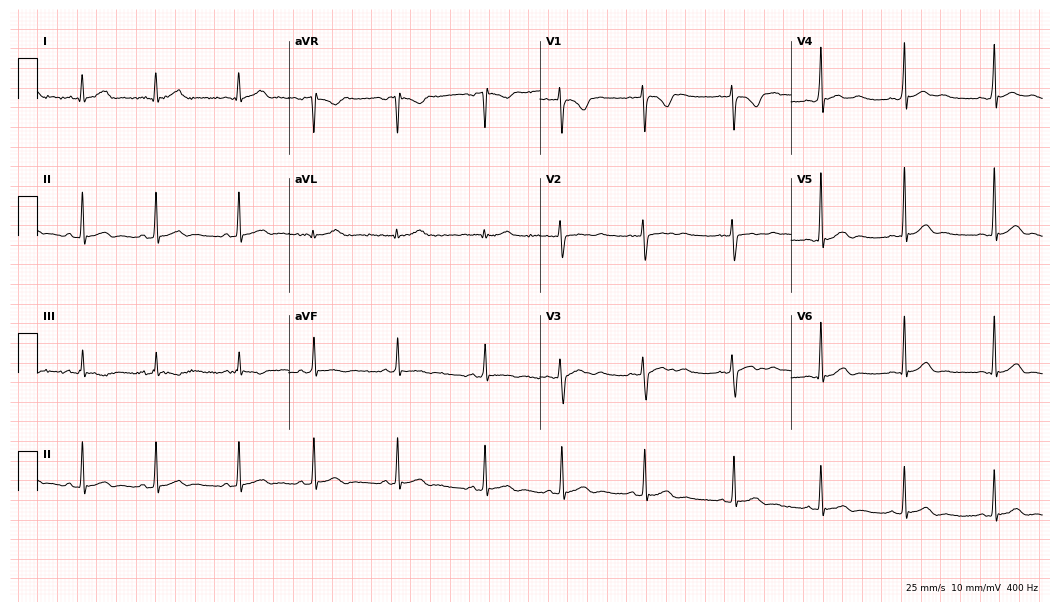
ECG — a 22-year-old woman. Labelled as a normal ECG.